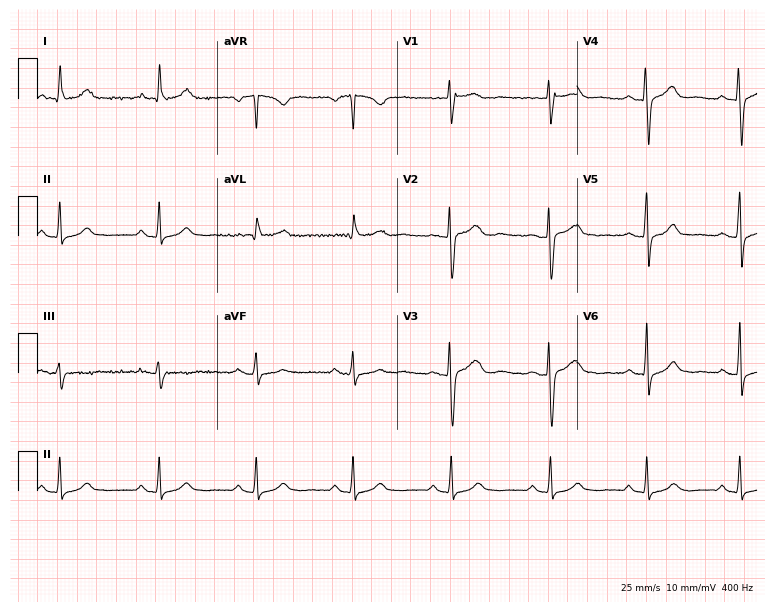
Resting 12-lead electrocardiogram. Patient: a female, 42 years old. None of these six findings is recorded: first-degree AV block, right bundle branch block, left bundle branch block, sinus bradycardia, atrial fibrillation, sinus tachycardia. Findings outside these six are not listed.